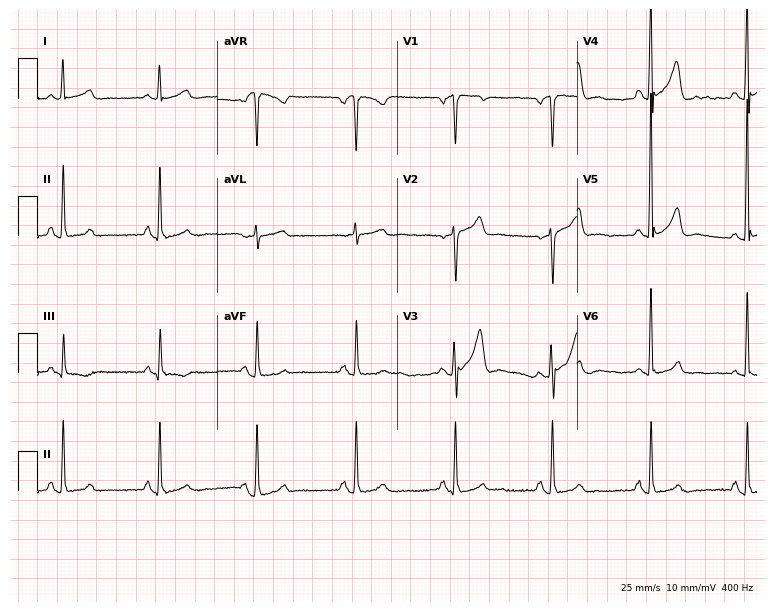
12-lead ECG from a 52-year-old male patient. Recorded interpretation: within normal limits.